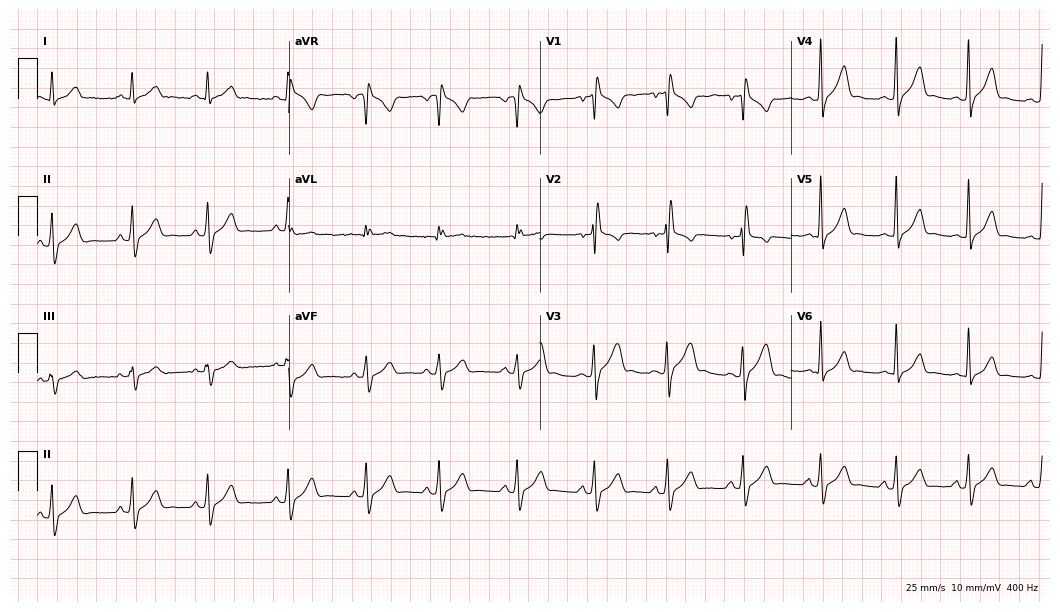
Electrocardiogram, a 17-year-old male. Of the six screened findings (first-degree AV block, right bundle branch block, left bundle branch block, sinus bradycardia, atrial fibrillation, sinus tachycardia), none is recorded. Findings outside these six are not listed.